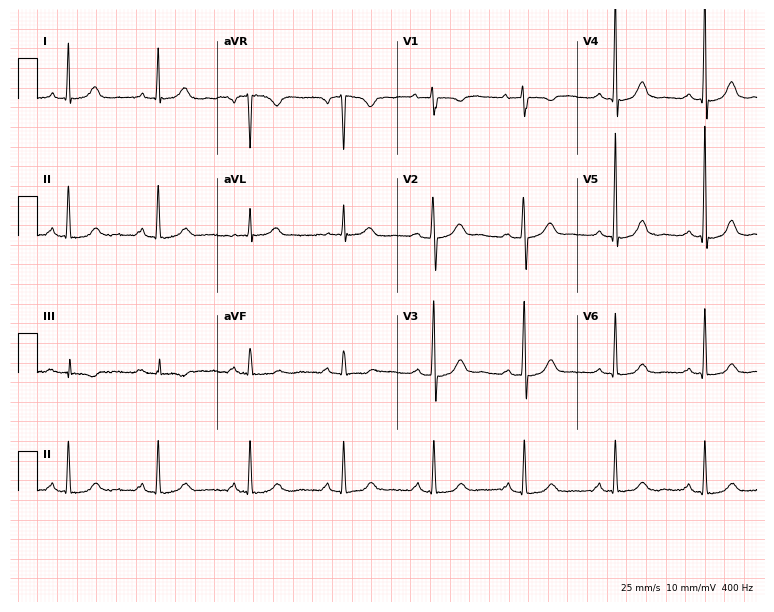
12-lead ECG from a 68-year-old female. Labelled as a normal ECG.